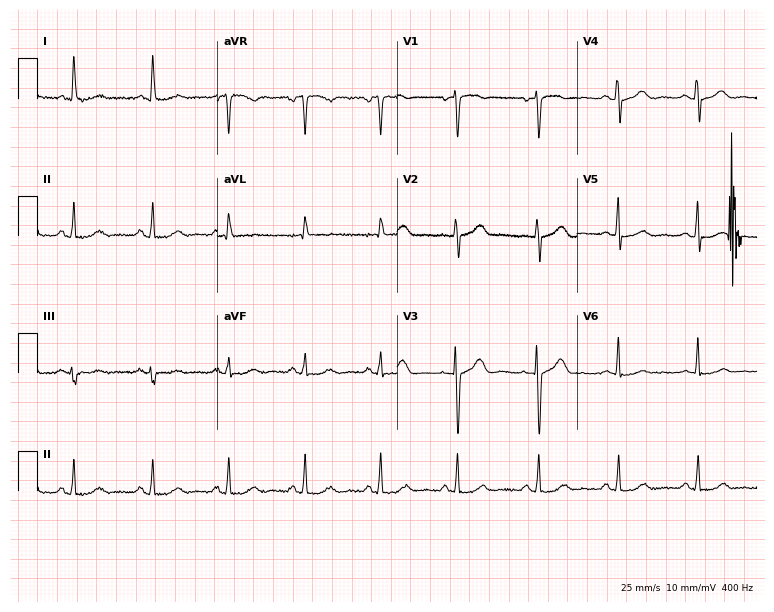
12-lead ECG from a 58-year-old woman. No first-degree AV block, right bundle branch block, left bundle branch block, sinus bradycardia, atrial fibrillation or sinus tachycardia recorded for this tracing. Only these six findings were labelled.